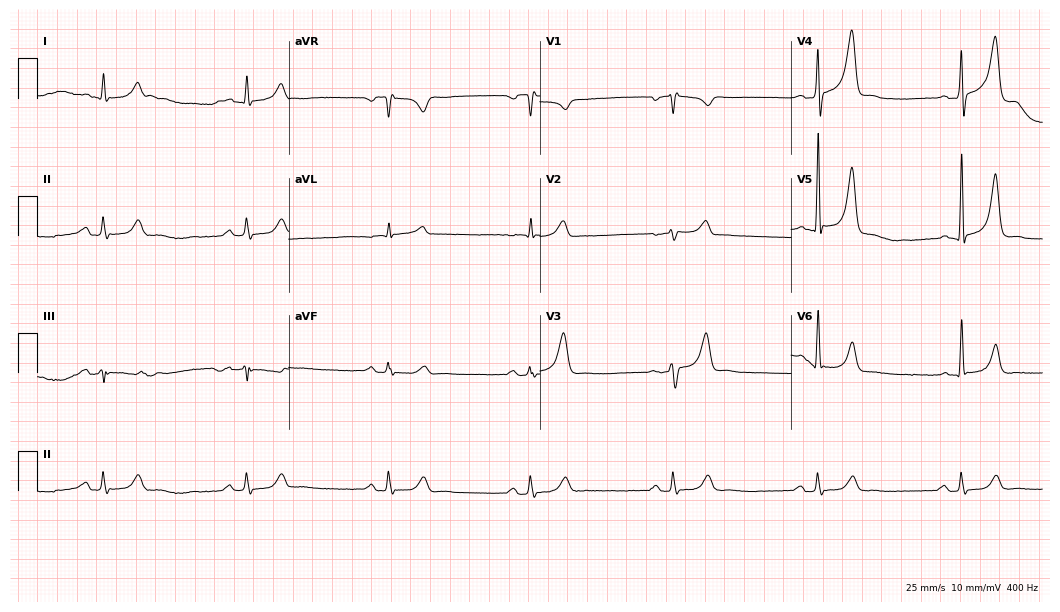
12-lead ECG from a 62-year-old man (10.2-second recording at 400 Hz). Shows sinus bradycardia (a sinus rate of 50 beats per minute or less).